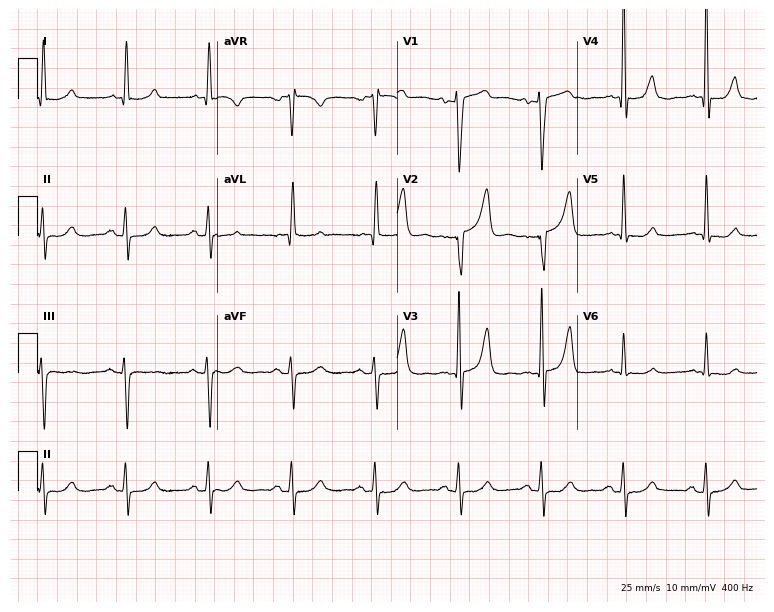
Resting 12-lead electrocardiogram (7.3-second recording at 400 Hz). Patient: a man, 58 years old. None of these six findings is recorded: first-degree AV block, right bundle branch block, left bundle branch block, sinus bradycardia, atrial fibrillation, sinus tachycardia. Only these six findings were labelled.